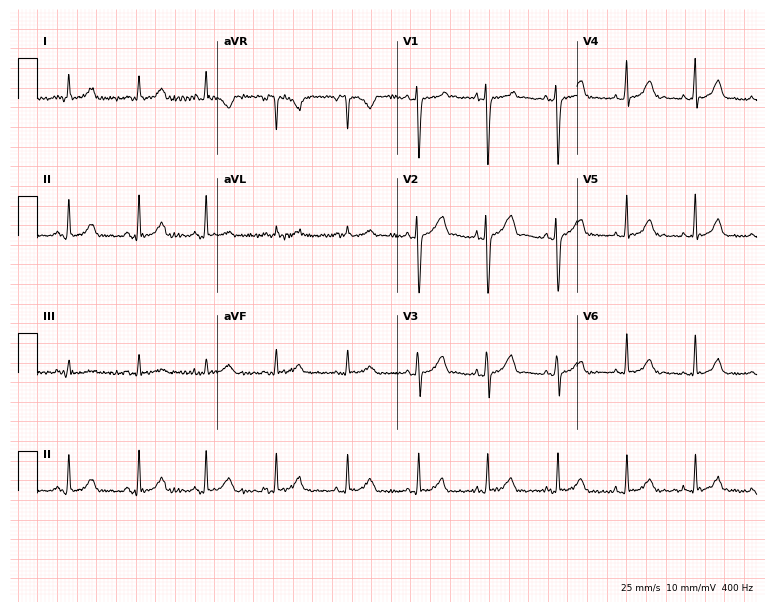
12-lead ECG from a female, 20 years old. Labelled as a normal ECG.